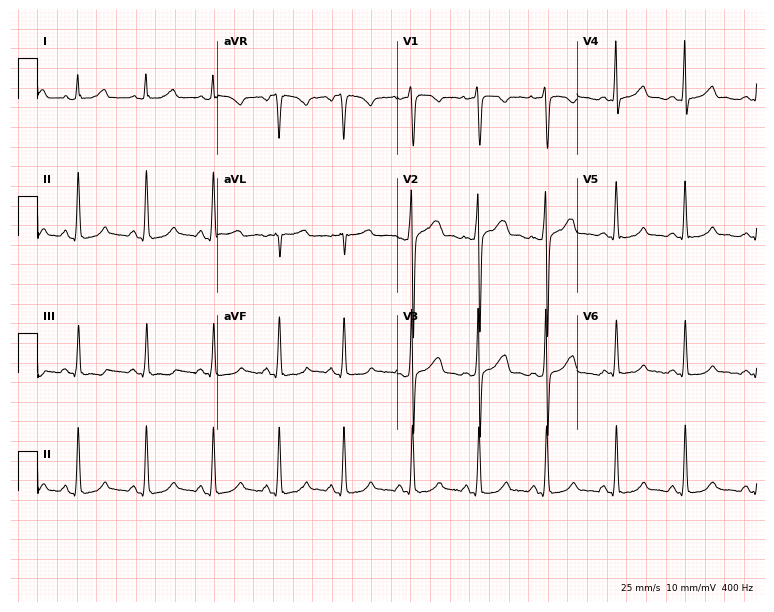
12-lead ECG from a 33-year-old woman. Labelled as a normal ECG.